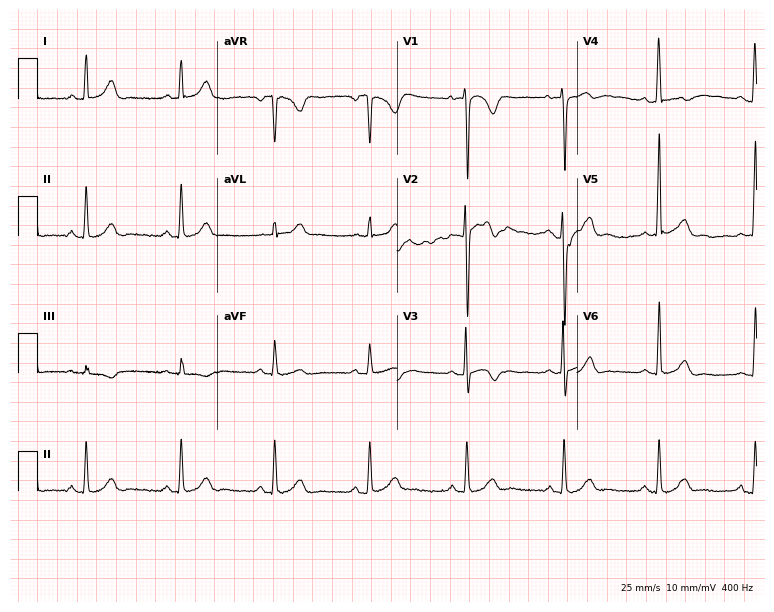
Resting 12-lead electrocardiogram (7.3-second recording at 400 Hz). Patient: a male, 52 years old. None of these six findings is recorded: first-degree AV block, right bundle branch block, left bundle branch block, sinus bradycardia, atrial fibrillation, sinus tachycardia.